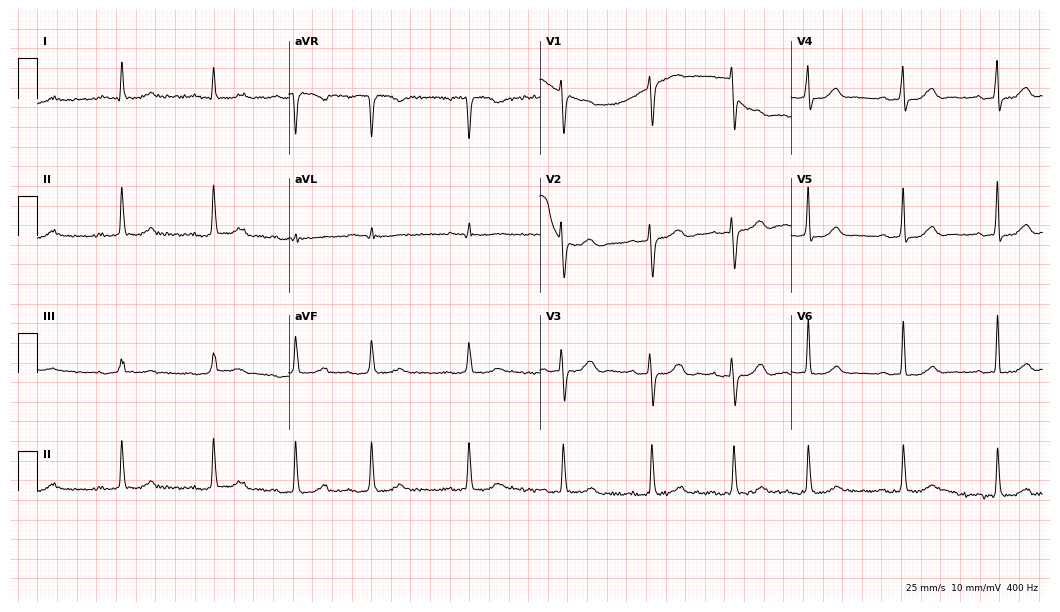
12-lead ECG (10.2-second recording at 400 Hz) from a female, 74 years old. Screened for six findings — first-degree AV block, right bundle branch block, left bundle branch block, sinus bradycardia, atrial fibrillation, sinus tachycardia — none is recorded.